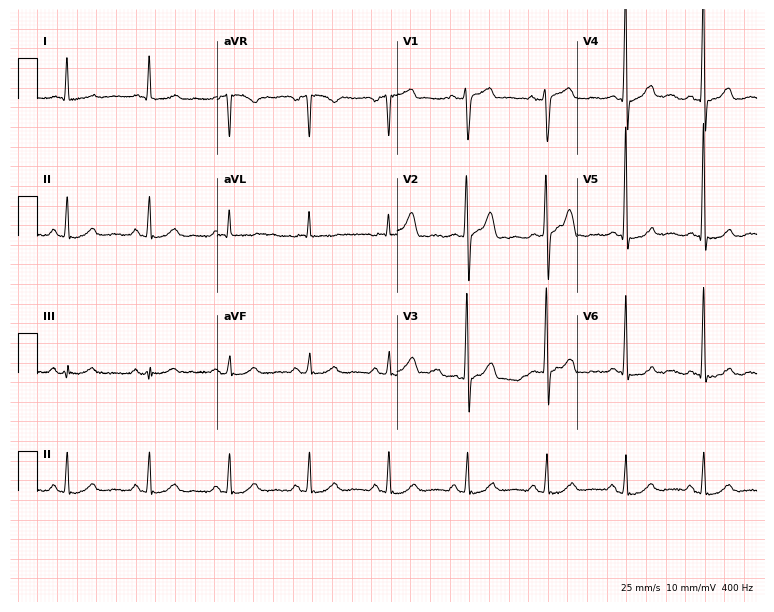
Electrocardiogram, a male, 67 years old. Of the six screened findings (first-degree AV block, right bundle branch block, left bundle branch block, sinus bradycardia, atrial fibrillation, sinus tachycardia), none is recorded. Only these six findings were labelled.